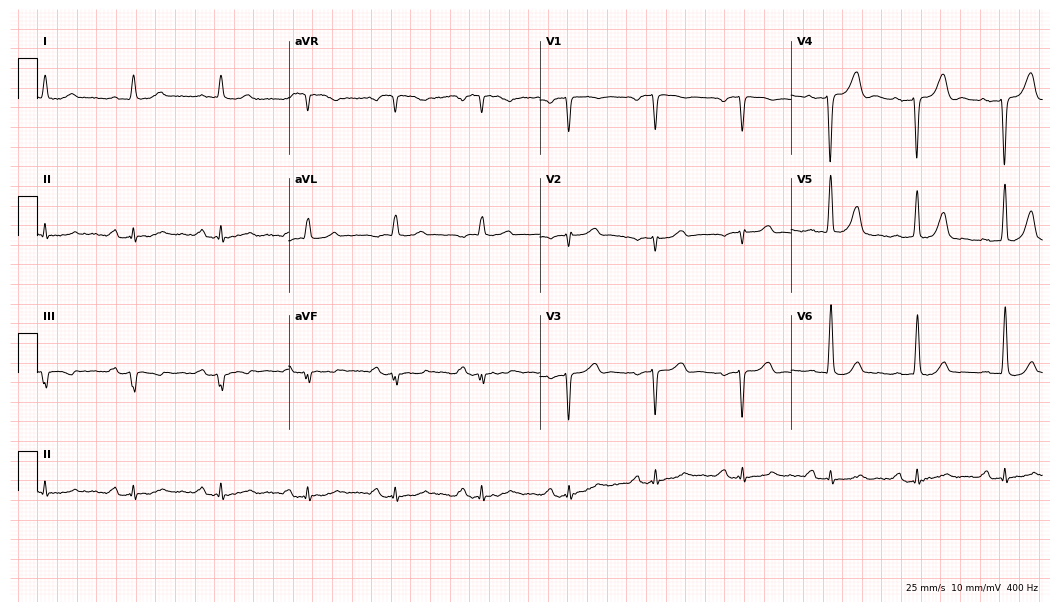
Resting 12-lead electrocardiogram. Patient: a male, 80 years old. Read as a normal ECG.